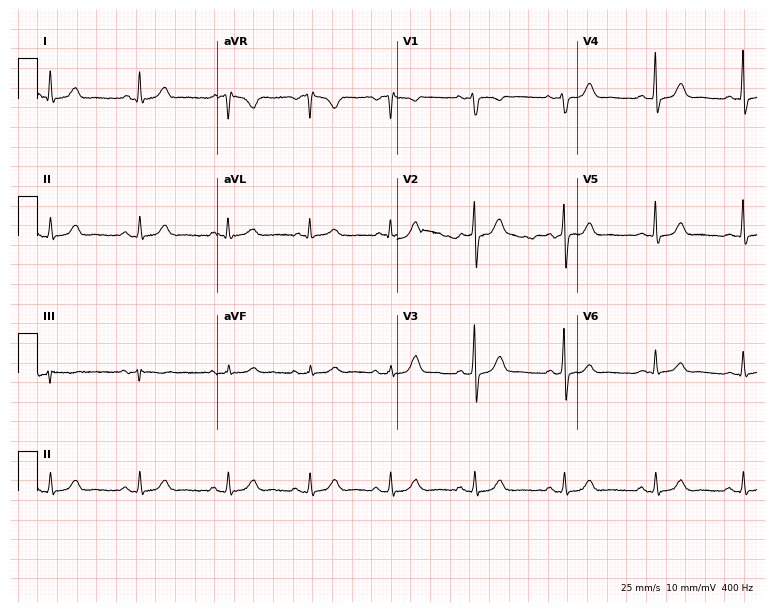
Resting 12-lead electrocardiogram (7.3-second recording at 400 Hz). Patient: a female, 48 years old. None of these six findings is recorded: first-degree AV block, right bundle branch block, left bundle branch block, sinus bradycardia, atrial fibrillation, sinus tachycardia. Only these six findings were labelled.